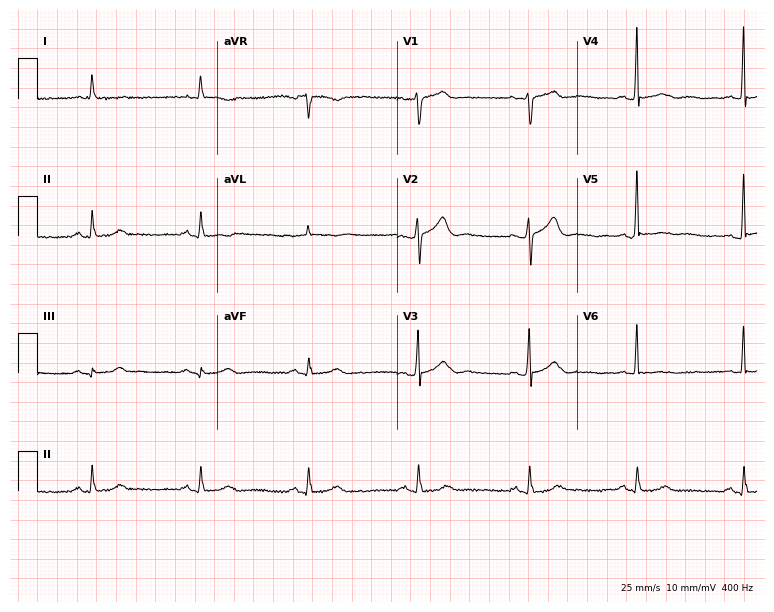
Electrocardiogram (7.3-second recording at 400 Hz), a 67-year-old male patient. Of the six screened findings (first-degree AV block, right bundle branch block (RBBB), left bundle branch block (LBBB), sinus bradycardia, atrial fibrillation (AF), sinus tachycardia), none is recorded.